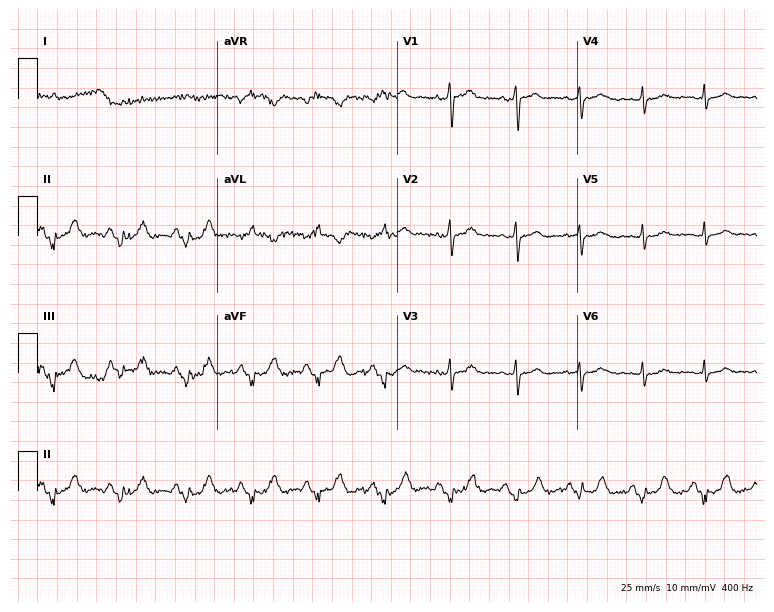
Resting 12-lead electrocardiogram. Patient: a male, 54 years old. None of these six findings is recorded: first-degree AV block, right bundle branch block, left bundle branch block, sinus bradycardia, atrial fibrillation, sinus tachycardia.